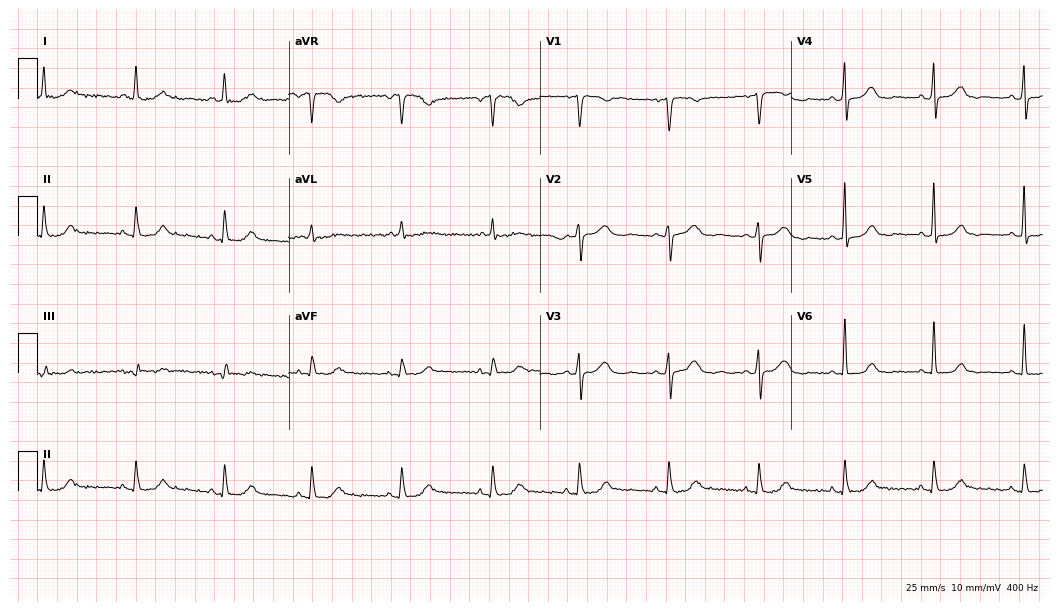
Resting 12-lead electrocardiogram (10.2-second recording at 400 Hz). Patient: a woman, 64 years old. Read as a normal ECG.